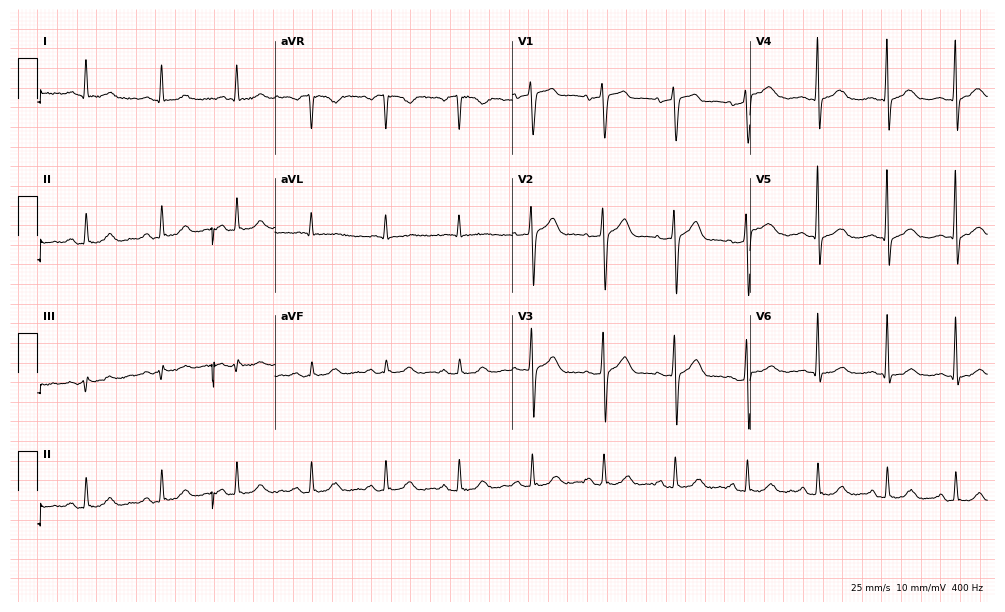
Resting 12-lead electrocardiogram. Patient: a male, 72 years old. Read as a normal ECG.